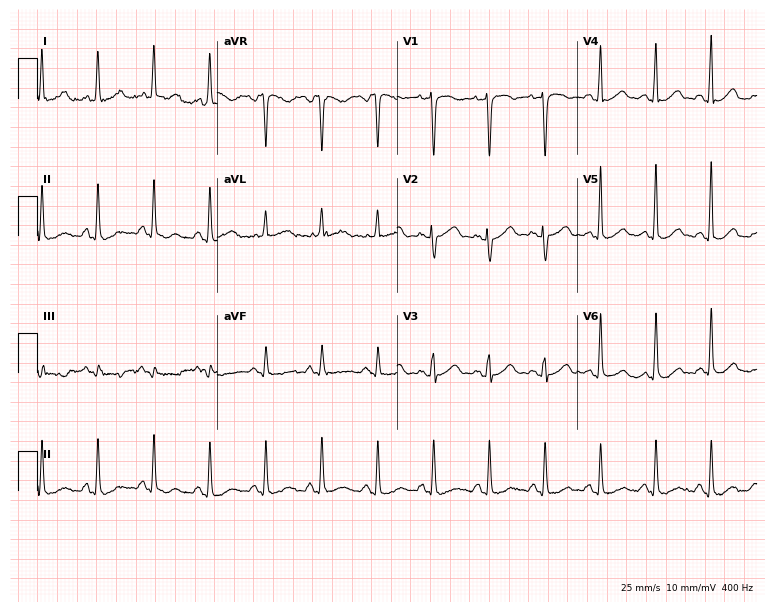
Resting 12-lead electrocardiogram. Patient: a 47-year-old man. The tracing shows sinus tachycardia (a sinus rate of 100 beats per minute or more).